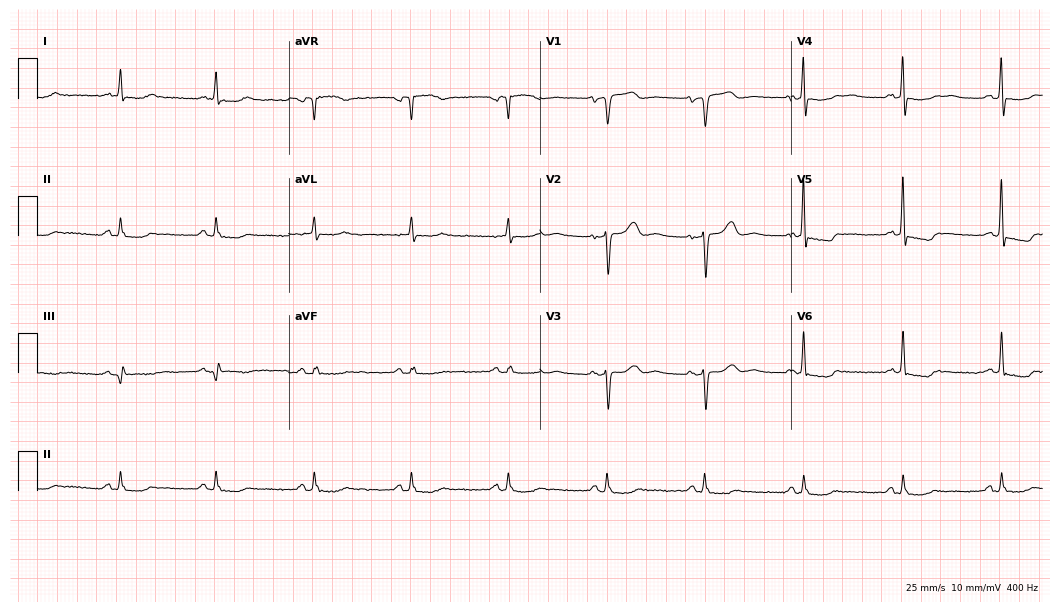
Resting 12-lead electrocardiogram (10.2-second recording at 400 Hz). Patient: a female, 85 years old. None of these six findings is recorded: first-degree AV block, right bundle branch block, left bundle branch block, sinus bradycardia, atrial fibrillation, sinus tachycardia. Only these six findings were labelled.